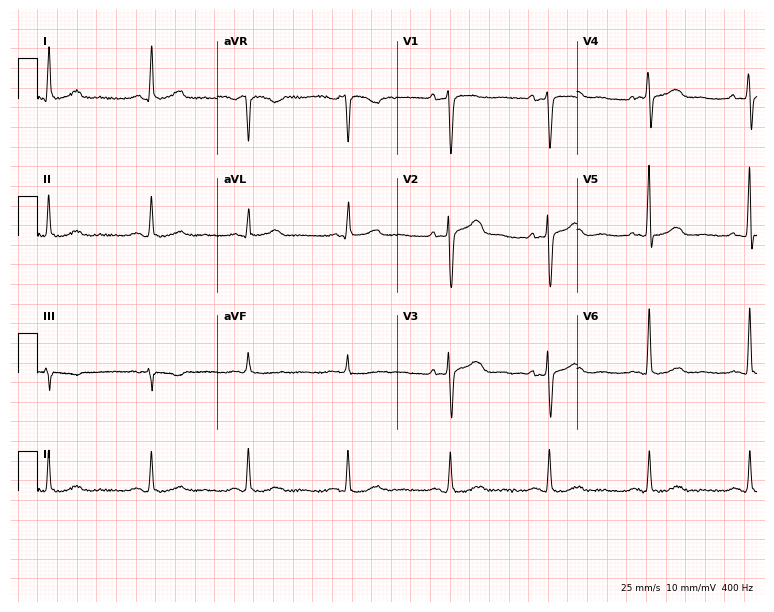
Standard 12-lead ECG recorded from a female patient, 61 years old (7.3-second recording at 400 Hz). Read as a normal ECG.